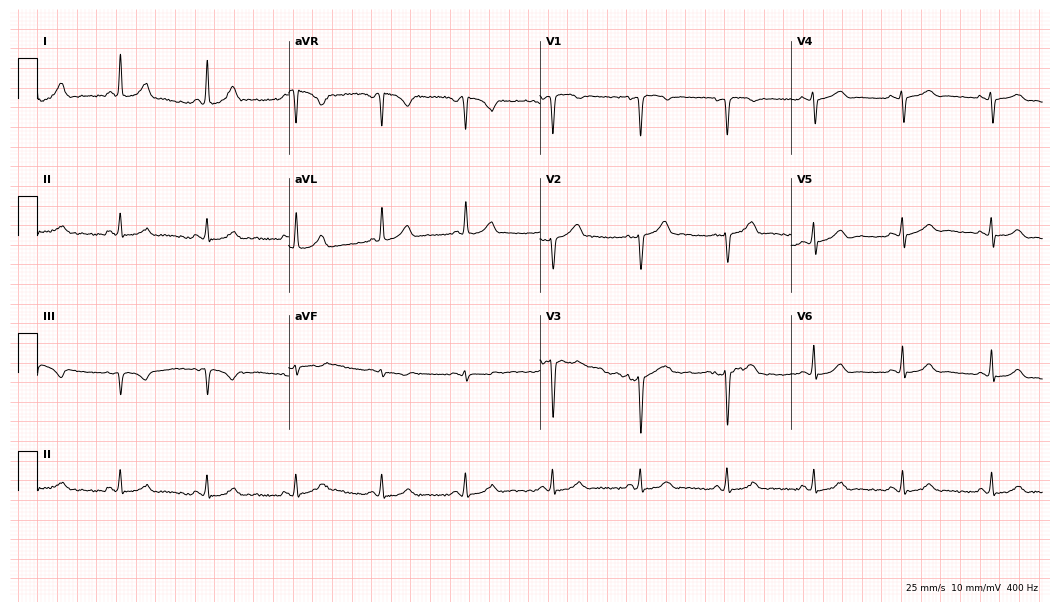
12-lead ECG from a 42-year-old female patient. Recorded interpretation: within normal limits.